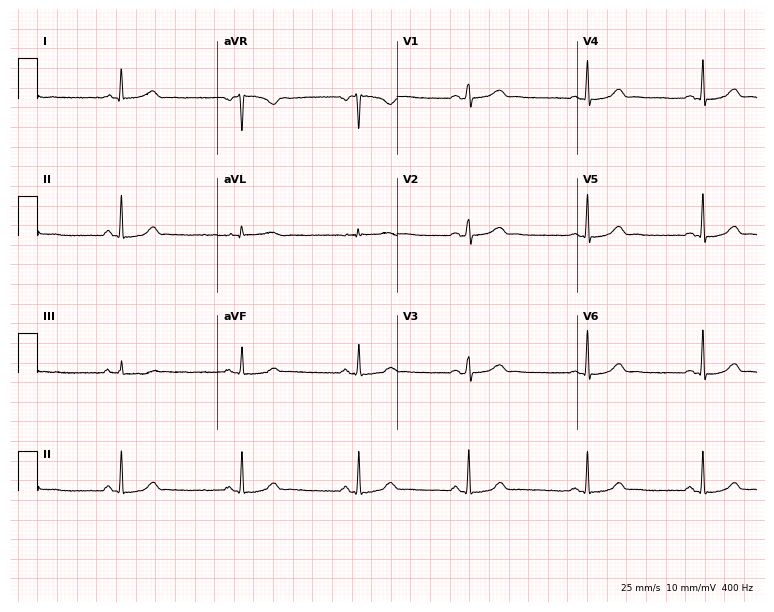
ECG (7.3-second recording at 400 Hz) — a woman, 40 years old. Labelled as a normal ECG.